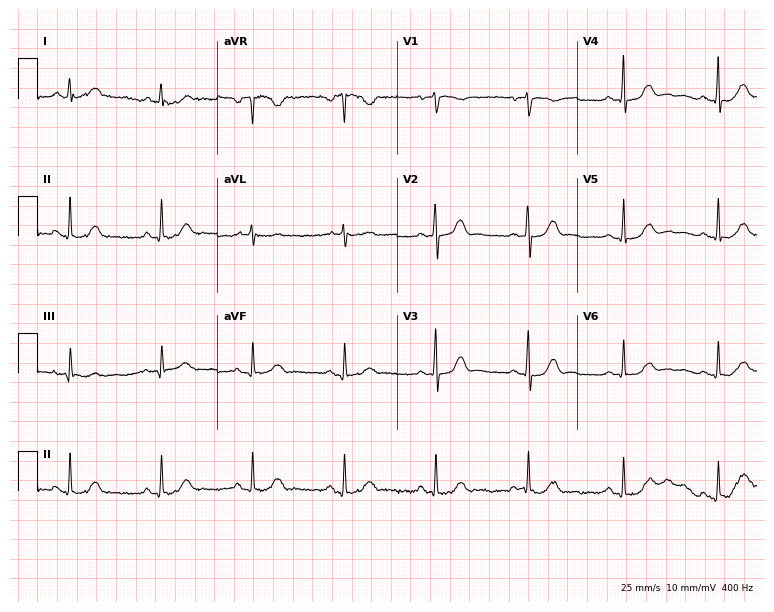
Standard 12-lead ECG recorded from a woman, 60 years old. Read as a normal ECG.